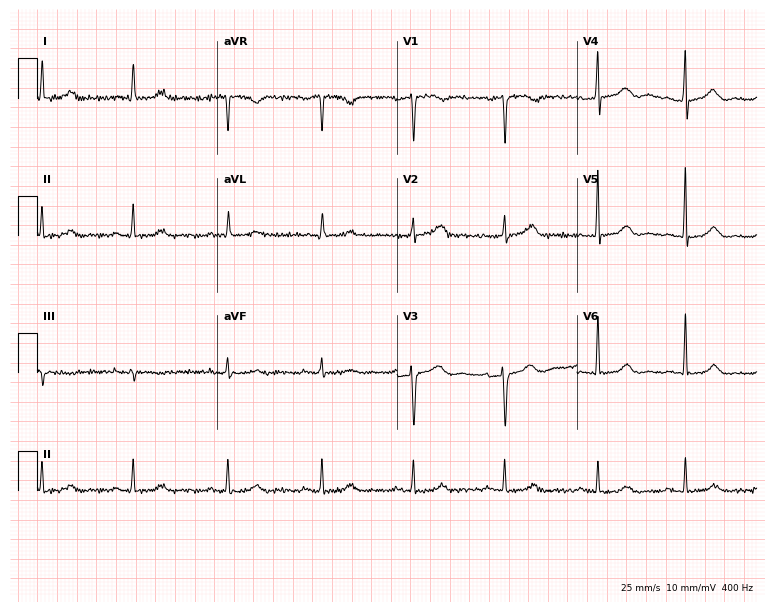
12-lead ECG from a 60-year-old woman. Screened for six findings — first-degree AV block, right bundle branch block, left bundle branch block, sinus bradycardia, atrial fibrillation, sinus tachycardia — none is recorded. Other findings, if any, are not listed.